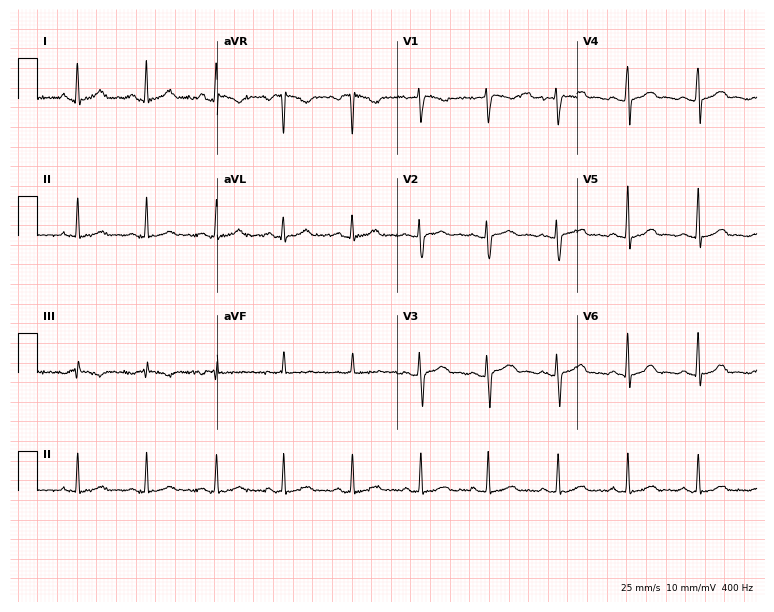
Electrocardiogram, a 23-year-old female. Of the six screened findings (first-degree AV block, right bundle branch block, left bundle branch block, sinus bradycardia, atrial fibrillation, sinus tachycardia), none is recorded.